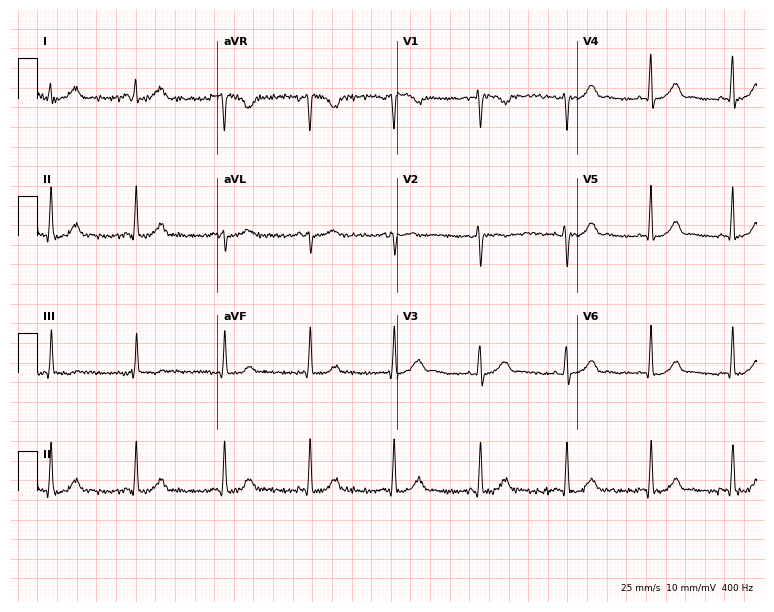
Resting 12-lead electrocardiogram. Patient: a woman, 38 years old. Read as a normal ECG.